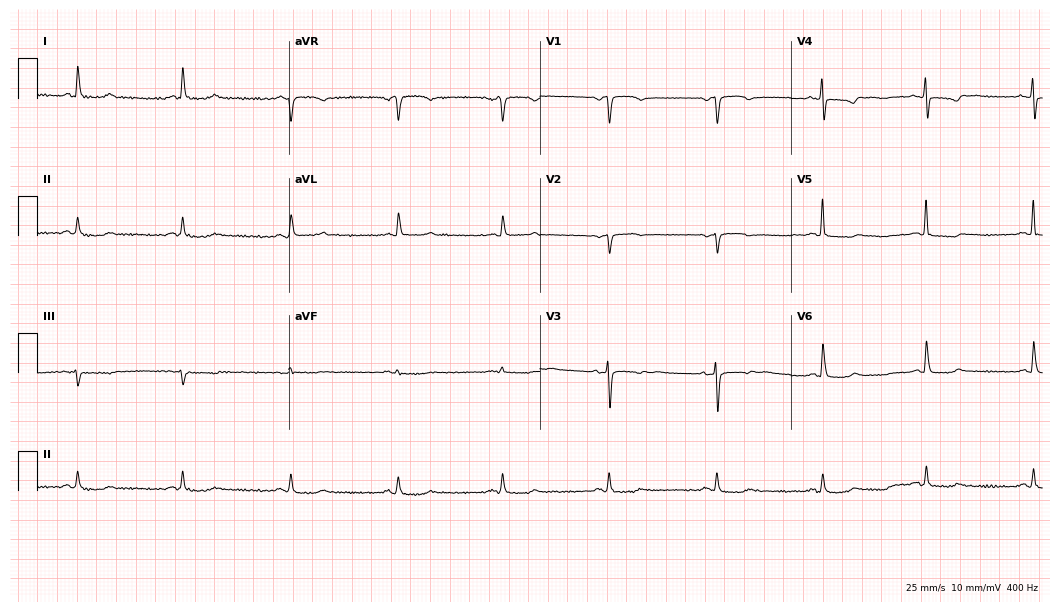
12-lead ECG (10.2-second recording at 400 Hz) from a female patient, 77 years old. Screened for six findings — first-degree AV block, right bundle branch block, left bundle branch block, sinus bradycardia, atrial fibrillation, sinus tachycardia — none is recorded. Only these six findings were labelled.